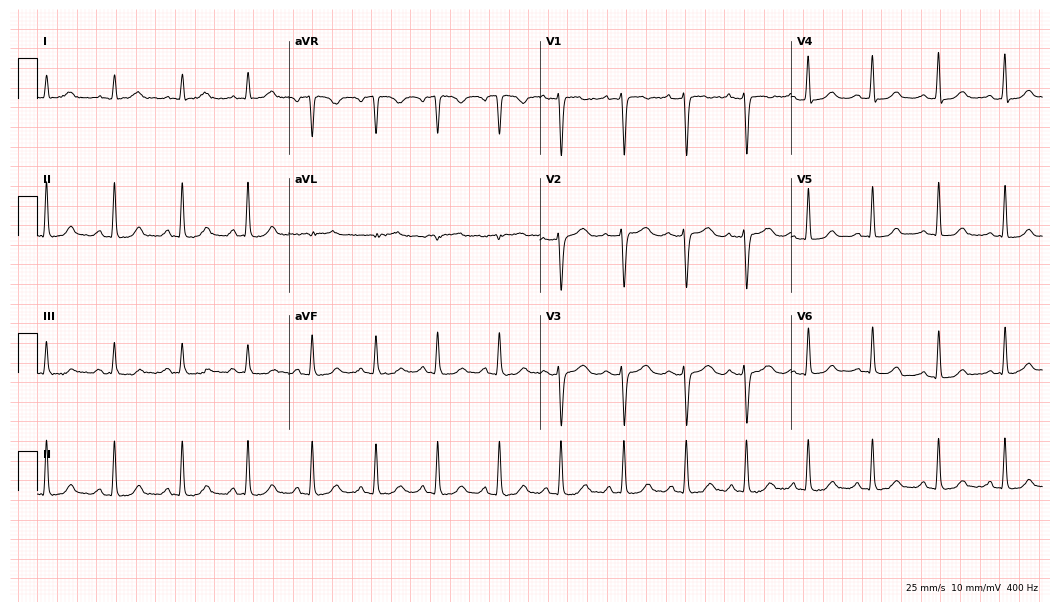
12-lead ECG (10.2-second recording at 400 Hz) from a 39-year-old woman. Labelled as a normal ECG.